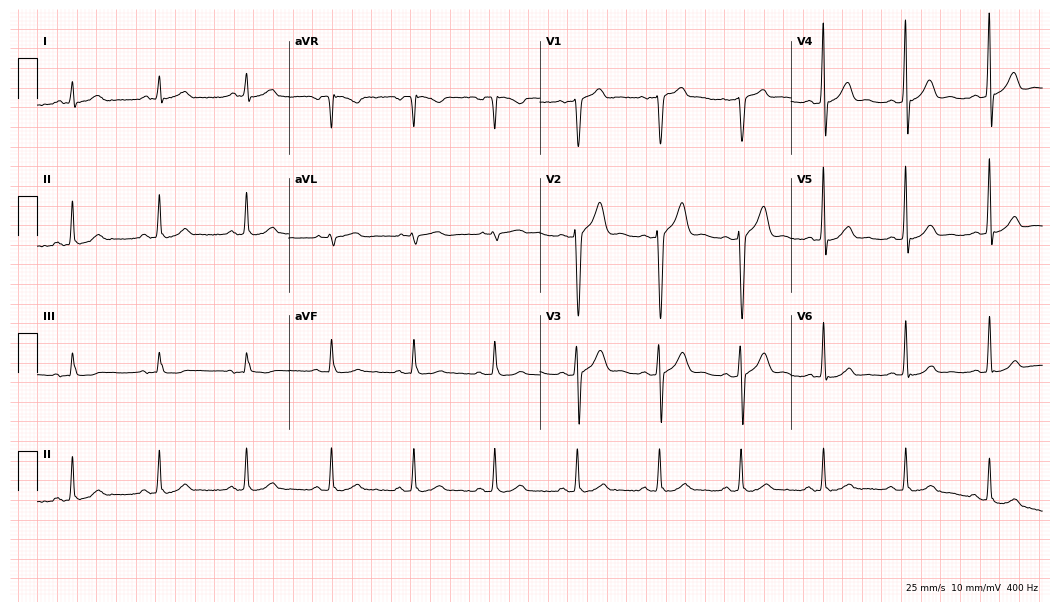
12-lead ECG from a 38-year-old woman (10.2-second recording at 400 Hz). Recorded interpretation: within normal limits.